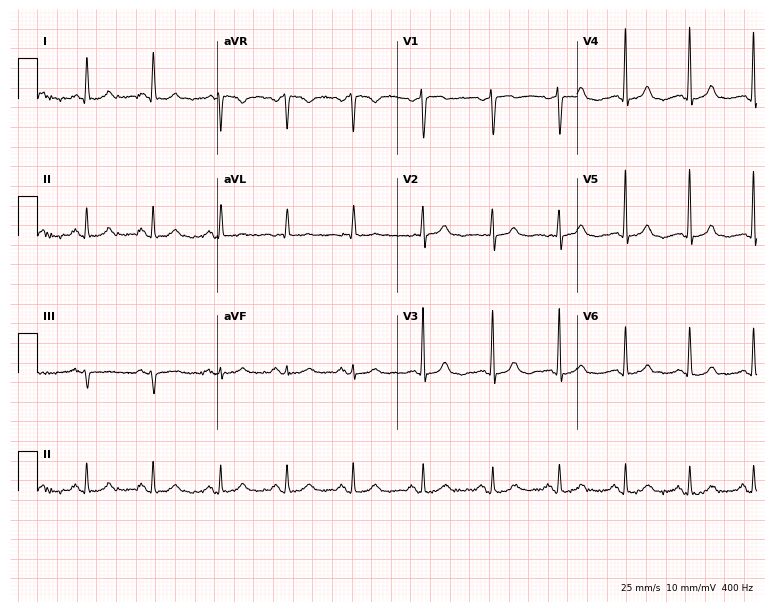
ECG (7.3-second recording at 400 Hz) — a female patient, 54 years old. Screened for six findings — first-degree AV block, right bundle branch block (RBBB), left bundle branch block (LBBB), sinus bradycardia, atrial fibrillation (AF), sinus tachycardia — none is recorded.